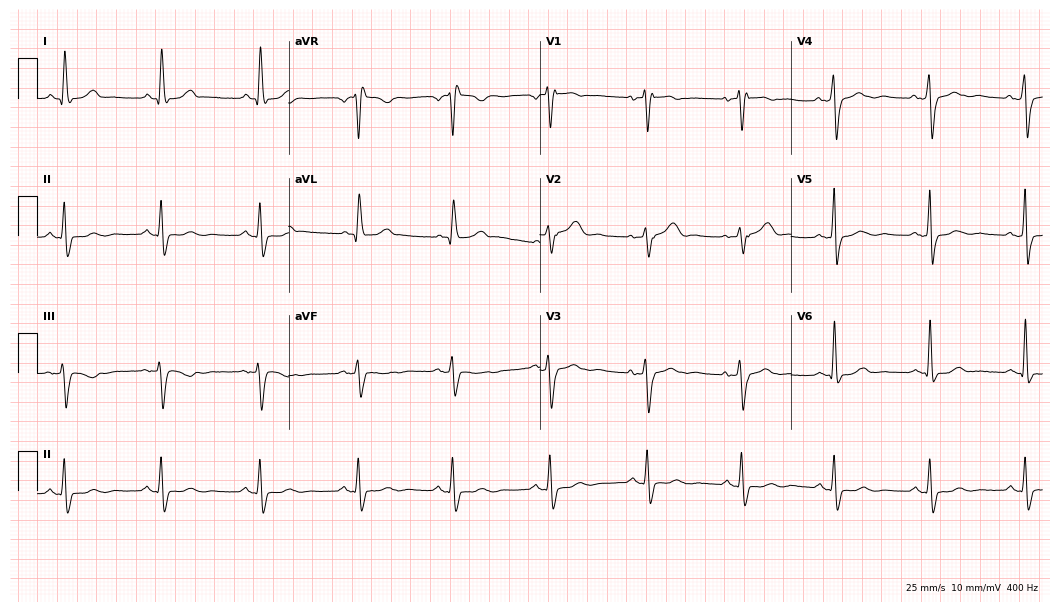
Standard 12-lead ECG recorded from a woman, 53 years old. None of these six findings is recorded: first-degree AV block, right bundle branch block, left bundle branch block, sinus bradycardia, atrial fibrillation, sinus tachycardia.